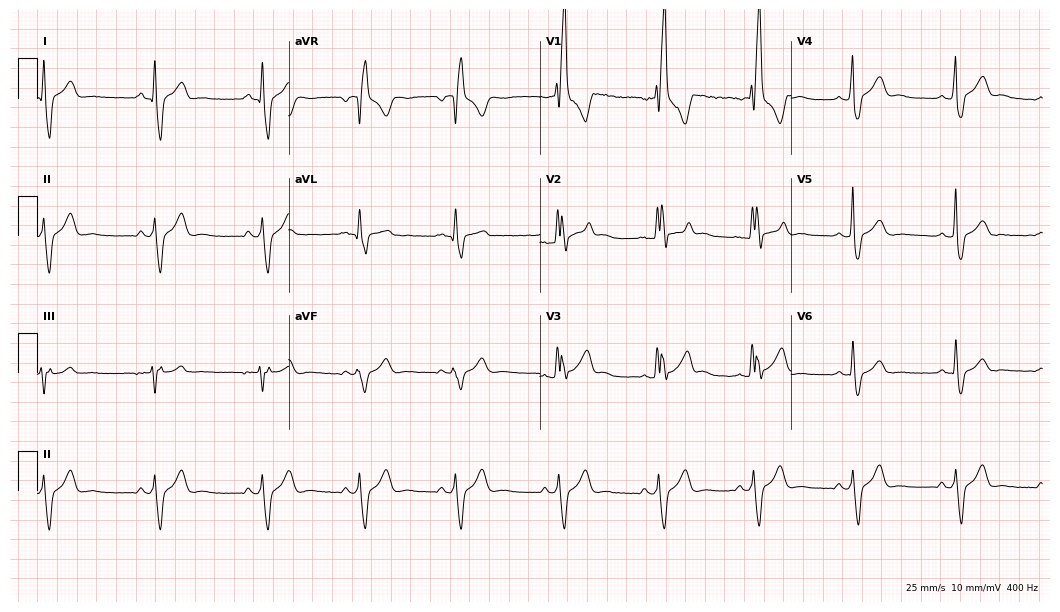
Standard 12-lead ECG recorded from a male, 36 years old. The tracing shows right bundle branch block.